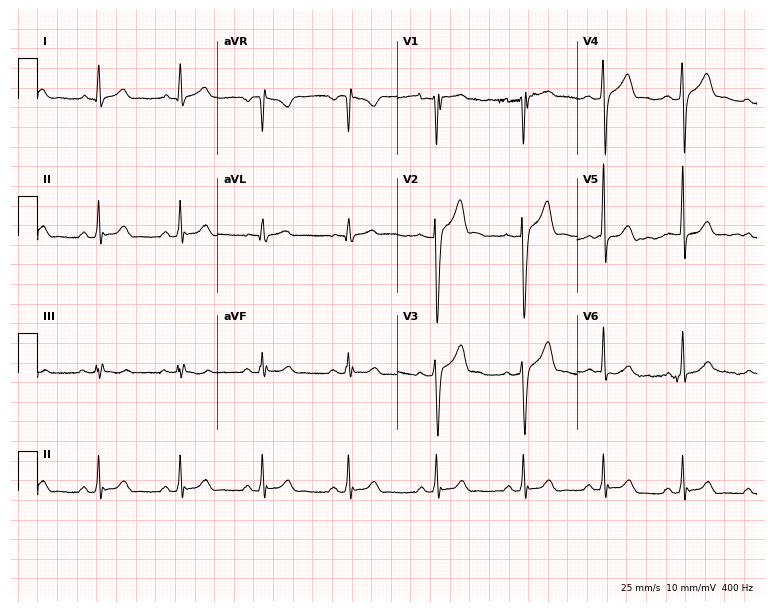
12-lead ECG (7.3-second recording at 400 Hz) from a 27-year-old man. Labelled as a normal ECG.